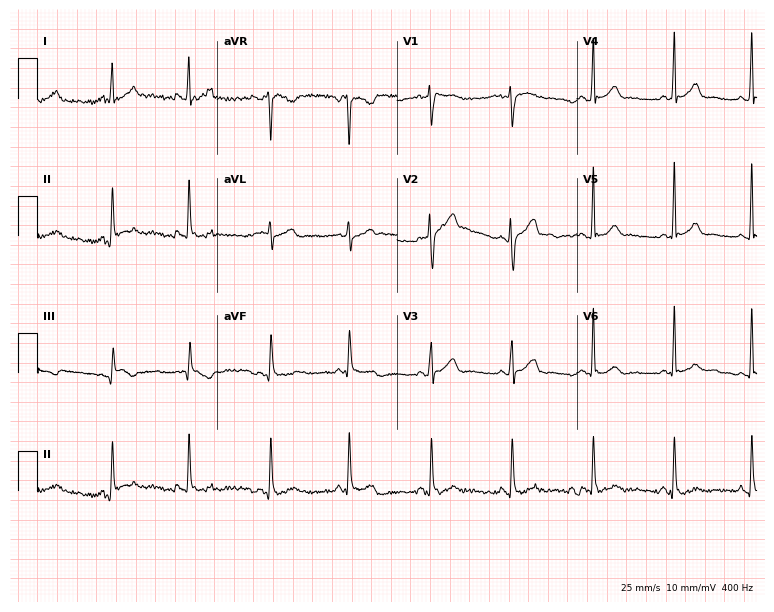
ECG (7.3-second recording at 400 Hz) — a female patient, 32 years old. Screened for six findings — first-degree AV block, right bundle branch block (RBBB), left bundle branch block (LBBB), sinus bradycardia, atrial fibrillation (AF), sinus tachycardia — none is recorded.